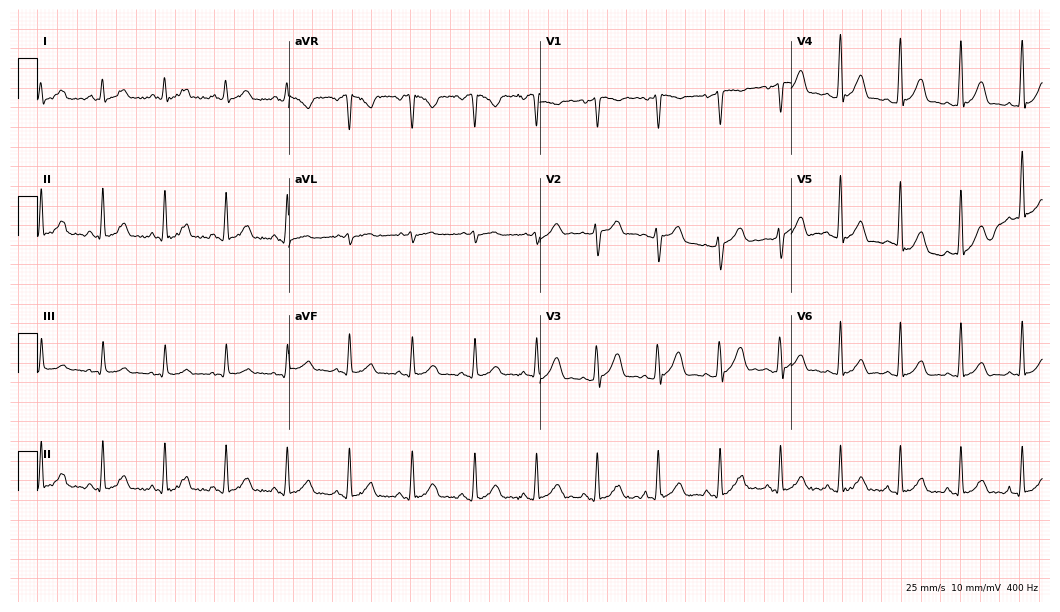
Resting 12-lead electrocardiogram. Patient: a 33-year-old man. None of these six findings is recorded: first-degree AV block, right bundle branch block (RBBB), left bundle branch block (LBBB), sinus bradycardia, atrial fibrillation (AF), sinus tachycardia.